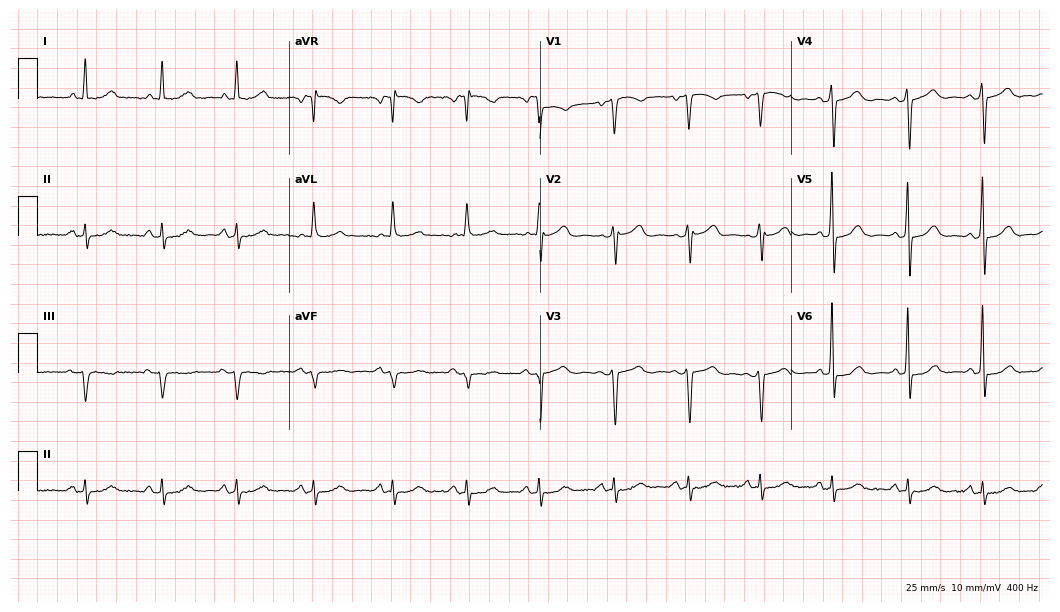
Standard 12-lead ECG recorded from a female, 70 years old. None of these six findings is recorded: first-degree AV block, right bundle branch block, left bundle branch block, sinus bradycardia, atrial fibrillation, sinus tachycardia.